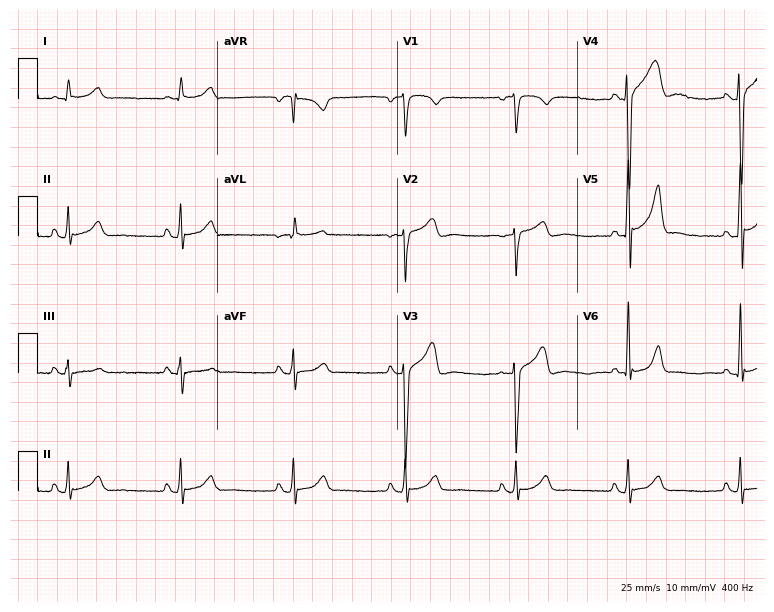
Resting 12-lead electrocardiogram (7.3-second recording at 400 Hz). Patient: a male, 36 years old. Read as a normal ECG.